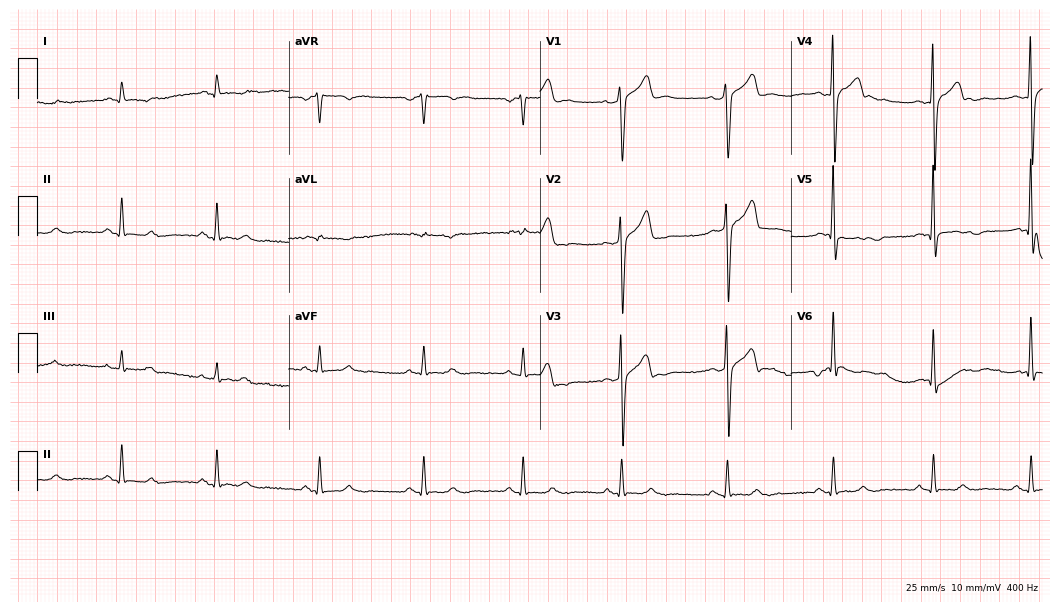
Standard 12-lead ECG recorded from a male, 49 years old (10.2-second recording at 400 Hz). None of these six findings is recorded: first-degree AV block, right bundle branch block, left bundle branch block, sinus bradycardia, atrial fibrillation, sinus tachycardia. Other findings, if any, are not listed.